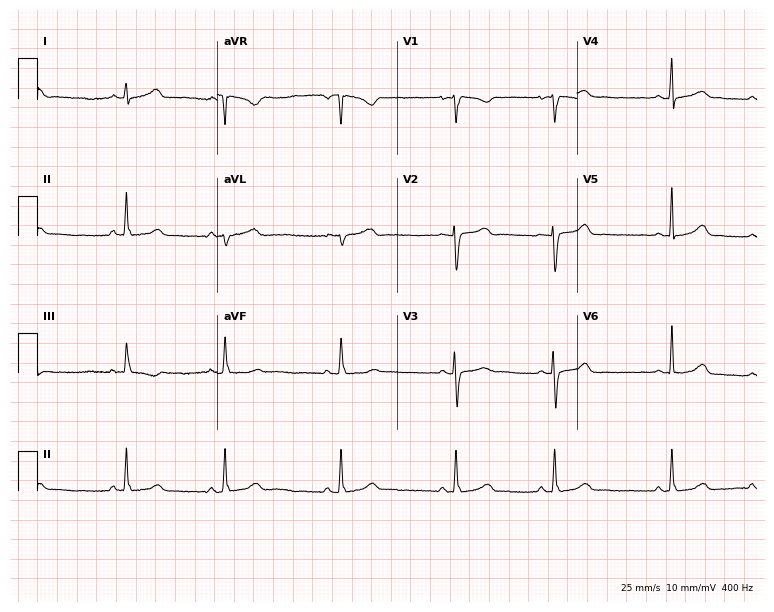
ECG — a female, 19 years old. Labelled as a normal ECG.